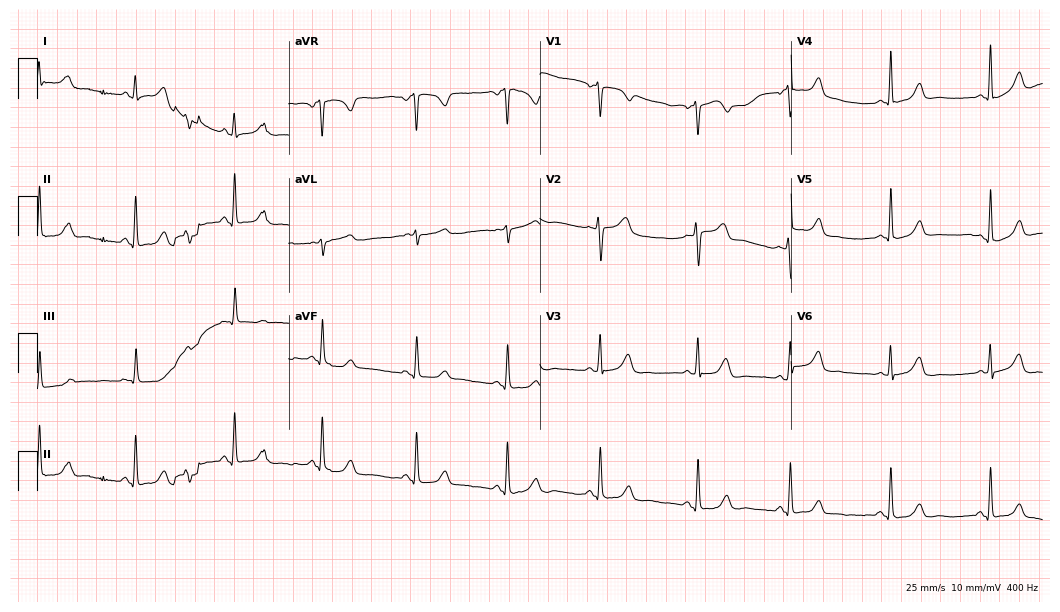
Standard 12-lead ECG recorded from a female, 42 years old (10.2-second recording at 400 Hz). None of these six findings is recorded: first-degree AV block, right bundle branch block (RBBB), left bundle branch block (LBBB), sinus bradycardia, atrial fibrillation (AF), sinus tachycardia. Only these six findings were labelled.